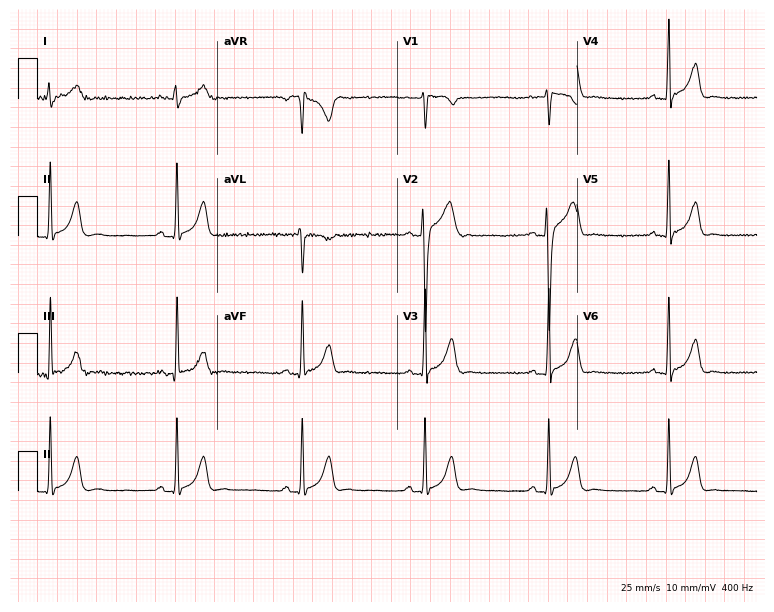
Standard 12-lead ECG recorded from a 25-year-old man. The tracing shows sinus bradycardia (a sinus rate of 50 beats per minute or less).